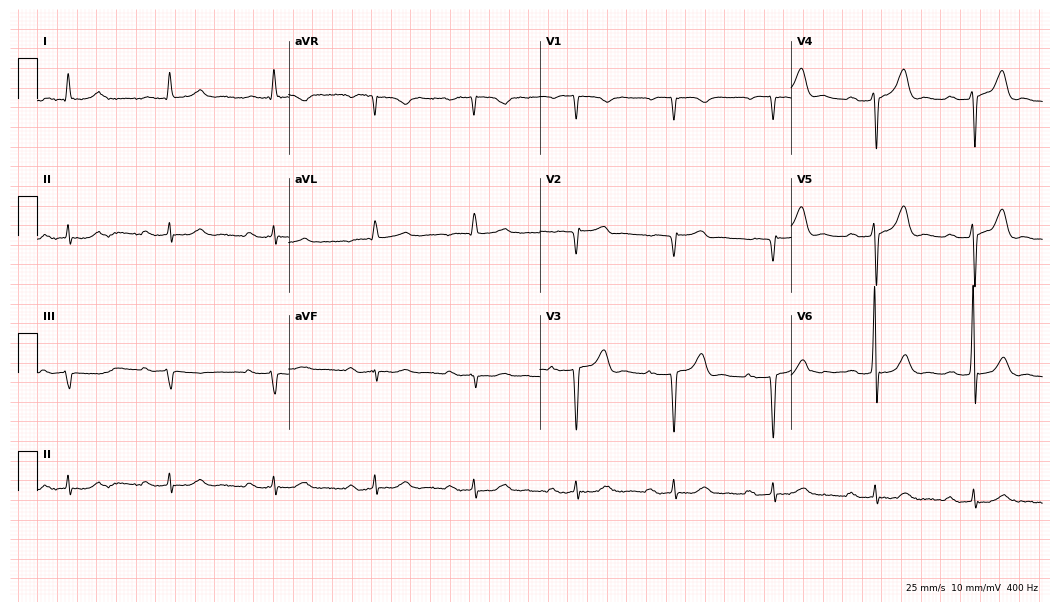
12-lead ECG from a man, 72 years old (10.2-second recording at 400 Hz). No first-degree AV block, right bundle branch block, left bundle branch block, sinus bradycardia, atrial fibrillation or sinus tachycardia recorded for this tracing.